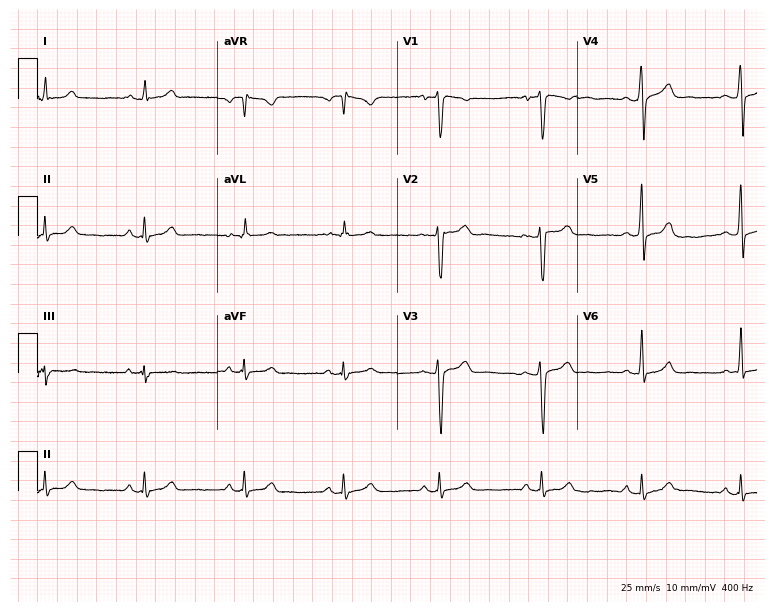
Electrocardiogram, a male, 27 years old. Overall reading on record: normal ECG.